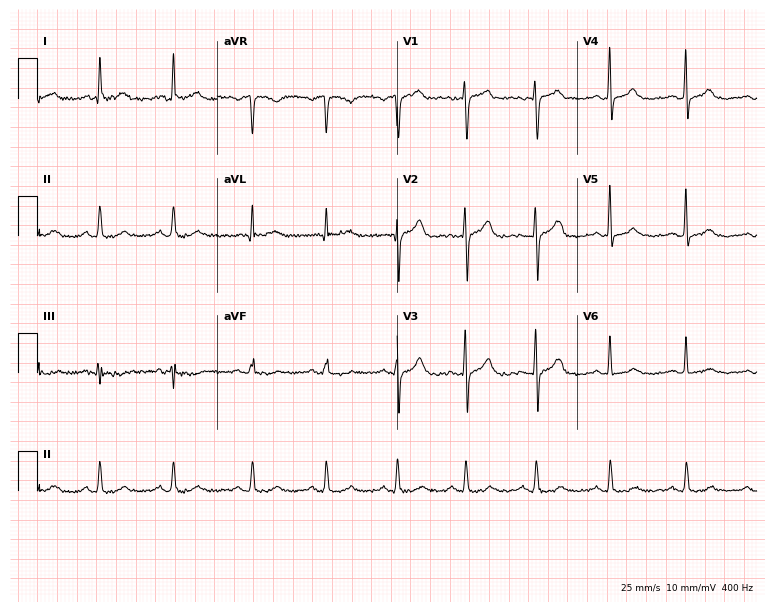
Standard 12-lead ECG recorded from a woman, 61 years old. Read as a normal ECG.